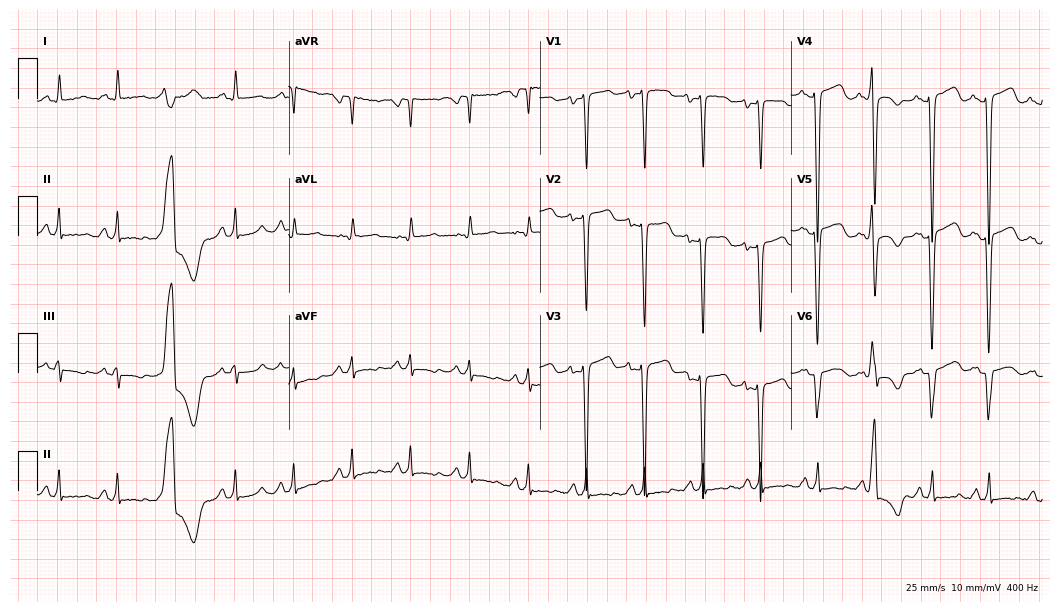
12-lead ECG from a 55-year-old woman. Screened for six findings — first-degree AV block, right bundle branch block, left bundle branch block, sinus bradycardia, atrial fibrillation, sinus tachycardia — none is recorded.